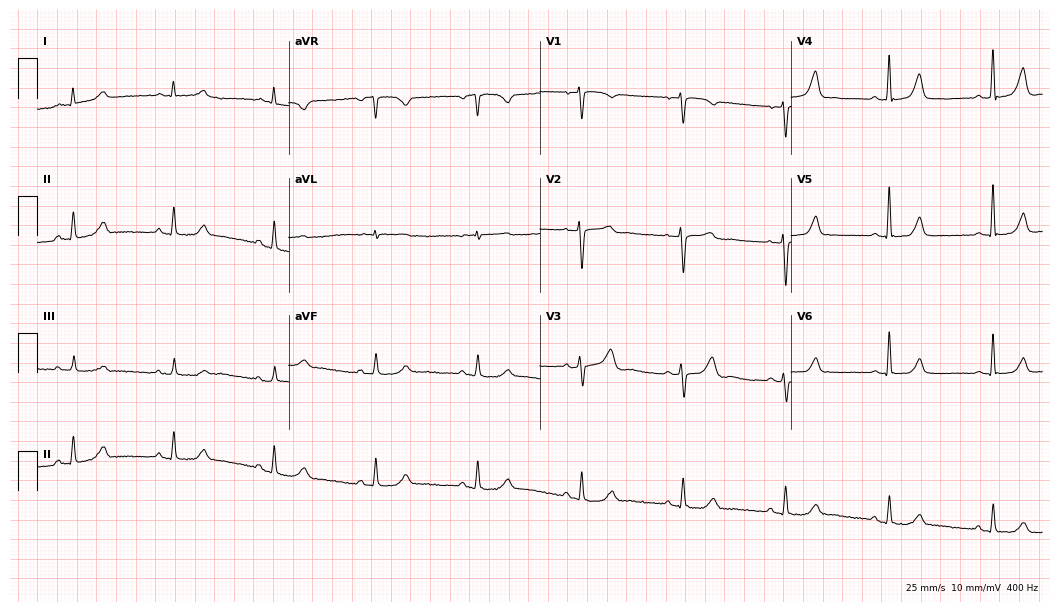
Electrocardiogram (10.2-second recording at 400 Hz), a 64-year-old female. Of the six screened findings (first-degree AV block, right bundle branch block, left bundle branch block, sinus bradycardia, atrial fibrillation, sinus tachycardia), none is recorded.